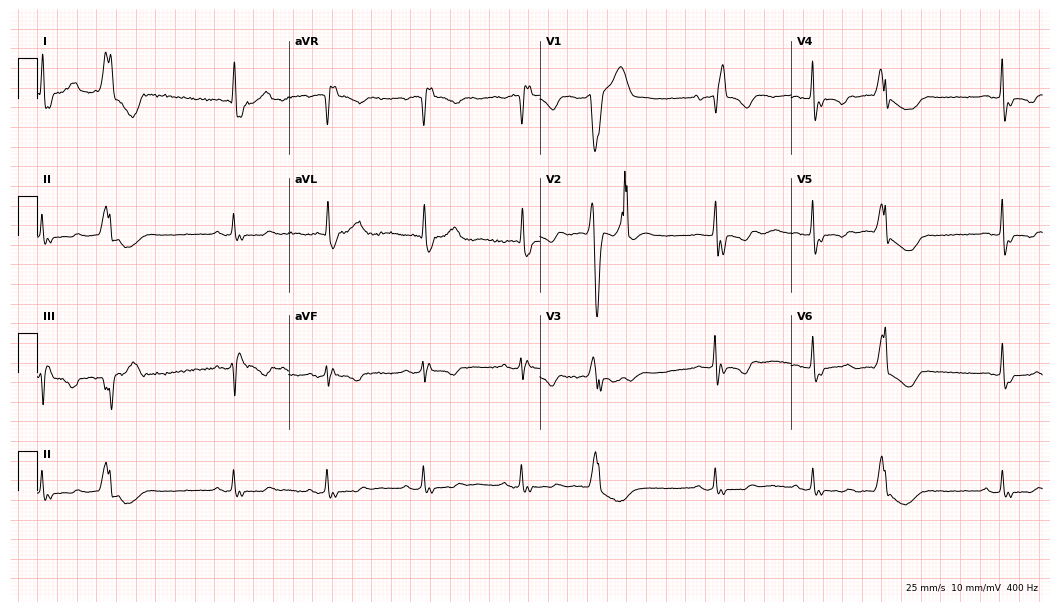
12-lead ECG from a woman, 83 years old. Shows right bundle branch block.